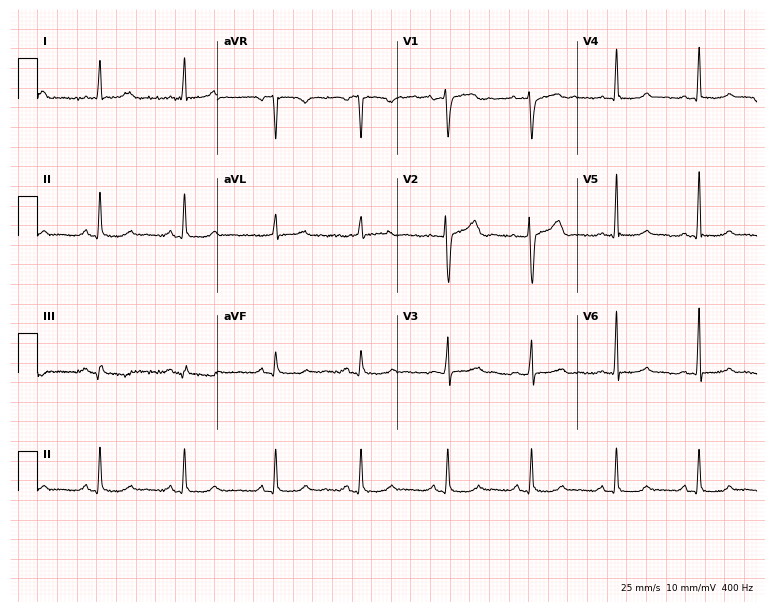
12-lead ECG from a 66-year-old female. No first-degree AV block, right bundle branch block, left bundle branch block, sinus bradycardia, atrial fibrillation or sinus tachycardia recorded for this tracing. Findings outside these six are not listed.